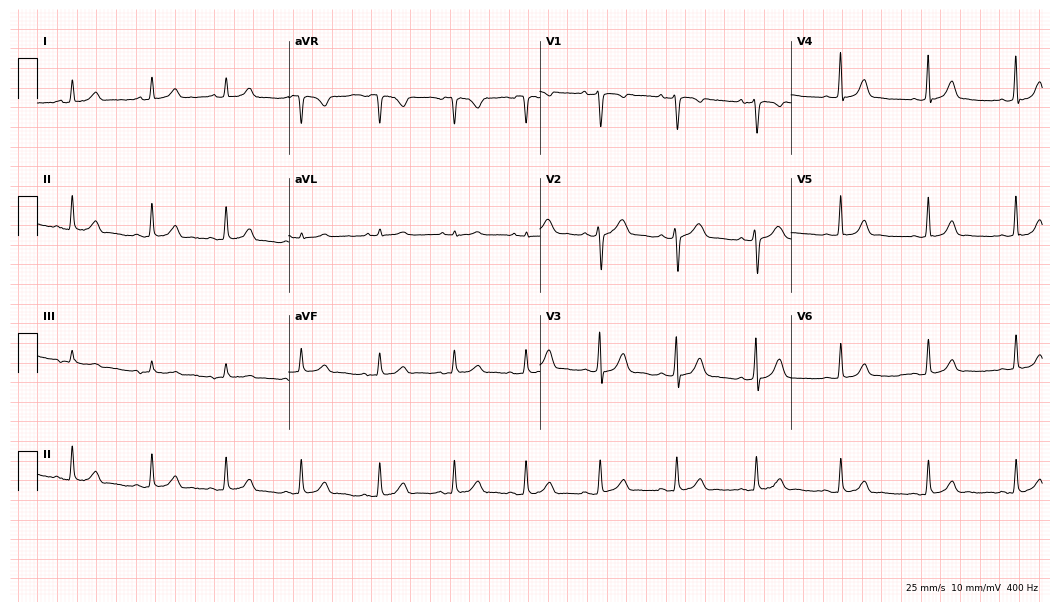
ECG (10.2-second recording at 400 Hz) — a female patient, 26 years old. Labelled as a normal ECG.